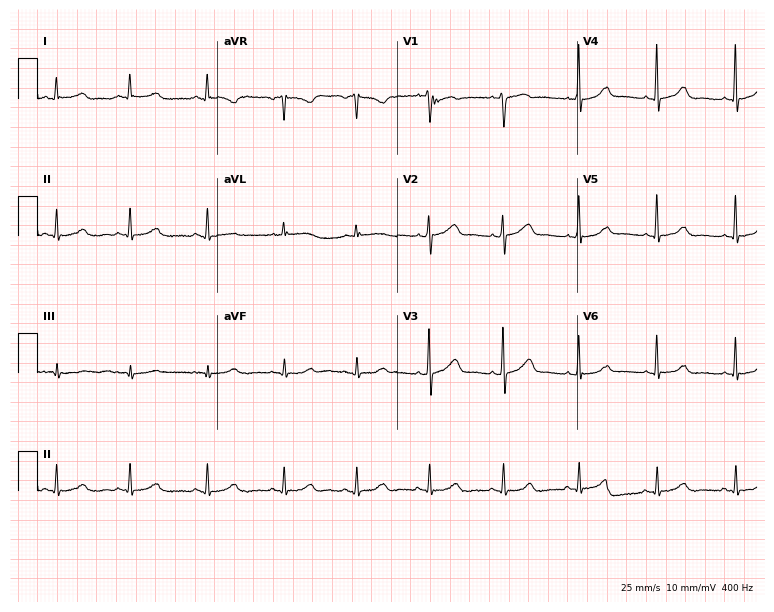
12-lead ECG from a female patient, 49 years old. No first-degree AV block, right bundle branch block, left bundle branch block, sinus bradycardia, atrial fibrillation or sinus tachycardia recorded for this tracing. Only these six findings were labelled.